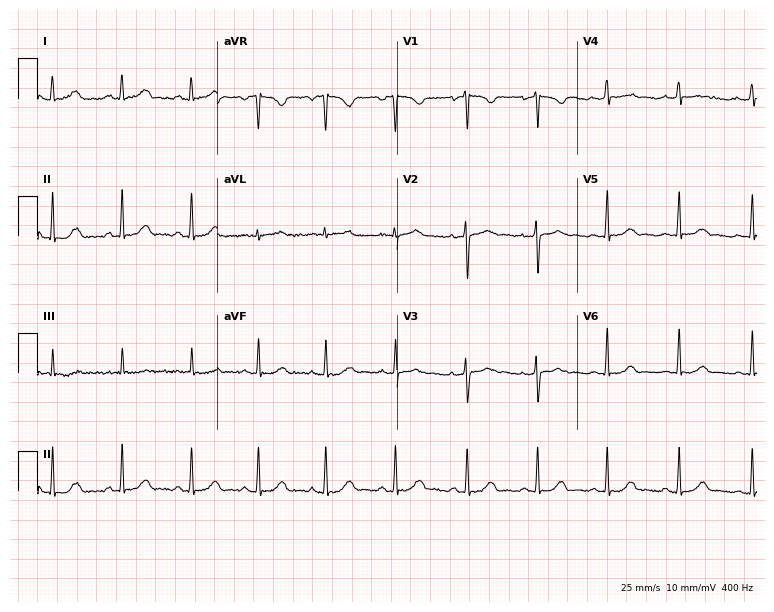
ECG (7.3-second recording at 400 Hz) — a 47-year-old female. Screened for six findings — first-degree AV block, right bundle branch block (RBBB), left bundle branch block (LBBB), sinus bradycardia, atrial fibrillation (AF), sinus tachycardia — none is recorded.